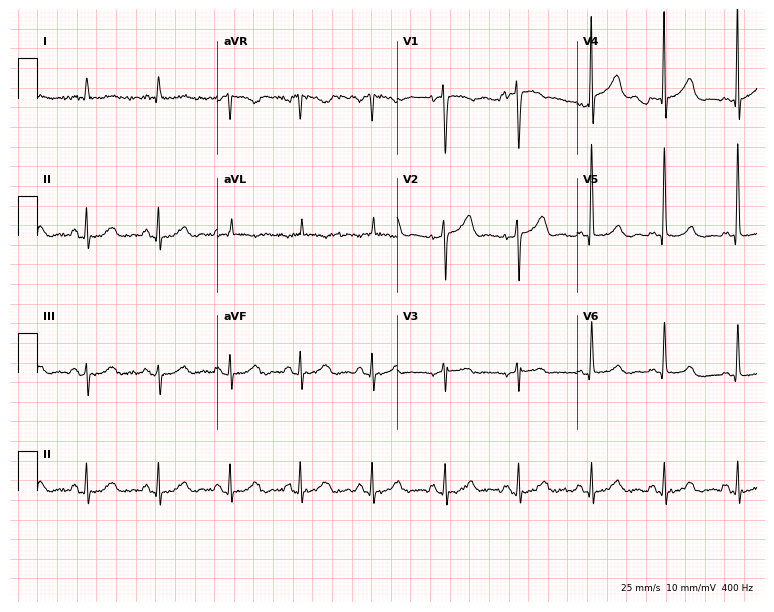
Standard 12-lead ECG recorded from a male, 70 years old. Read as a normal ECG.